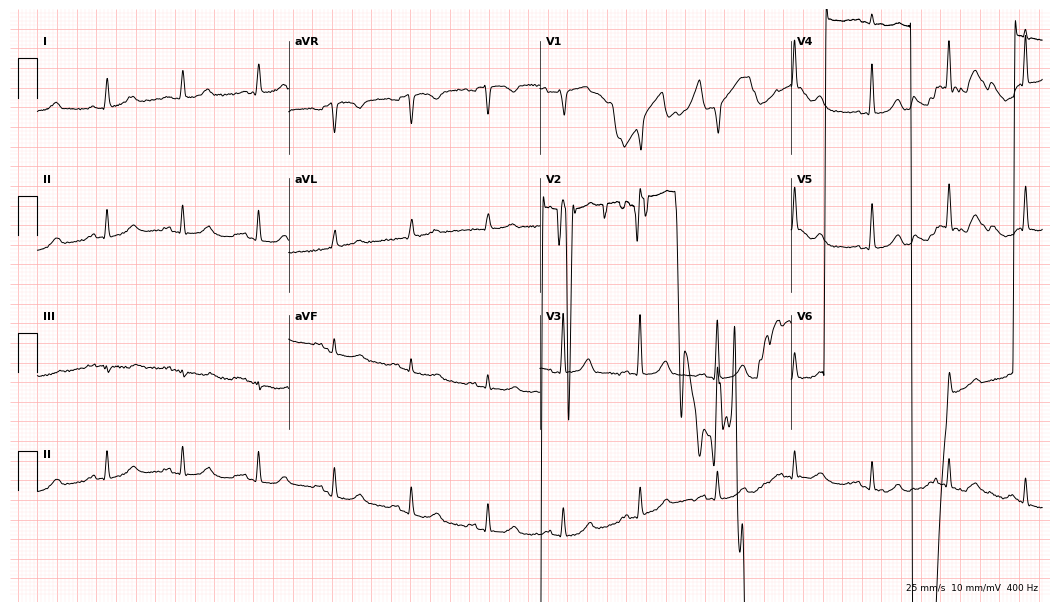
Electrocardiogram, a male patient, 70 years old. Of the six screened findings (first-degree AV block, right bundle branch block (RBBB), left bundle branch block (LBBB), sinus bradycardia, atrial fibrillation (AF), sinus tachycardia), none is recorded.